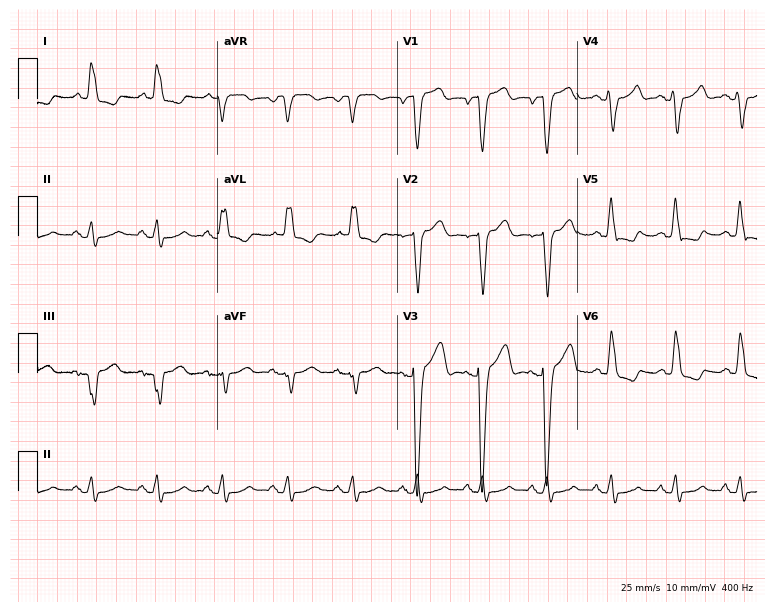
Resting 12-lead electrocardiogram (7.3-second recording at 400 Hz). Patient: a woman, 68 years old. The tracing shows left bundle branch block.